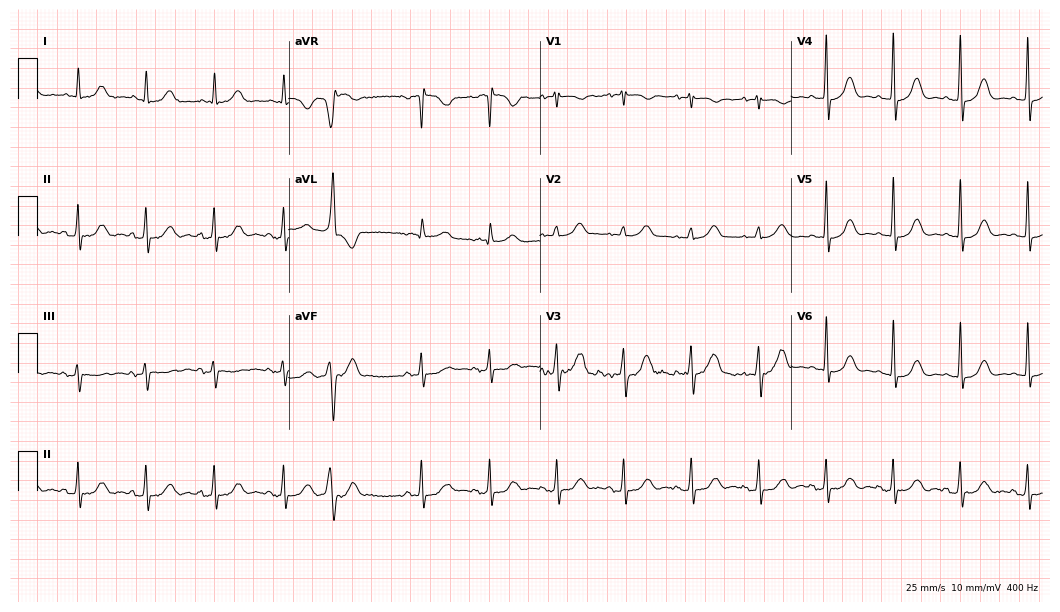
ECG (10.2-second recording at 400 Hz) — a 76-year-old female patient. Screened for six findings — first-degree AV block, right bundle branch block (RBBB), left bundle branch block (LBBB), sinus bradycardia, atrial fibrillation (AF), sinus tachycardia — none is recorded. Findings outside these six are not listed.